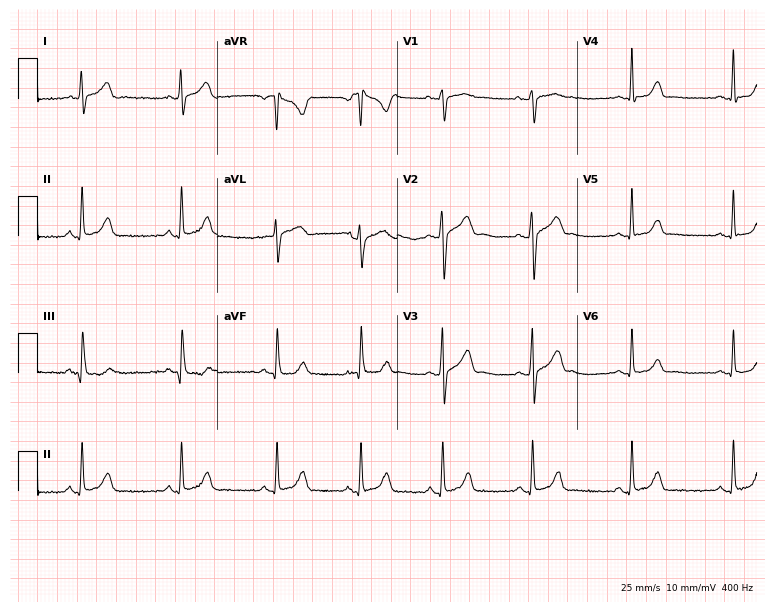
Electrocardiogram (7.3-second recording at 400 Hz), a 26-year-old woman. Of the six screened findings (first-degree AV block, right bundle branch block (RBBB), left bundle branch block (LBBB), sinus bradycardia, atrial fibrillation (AF), sinus tachycardia), none is recorded. Only these six findings were labelled.